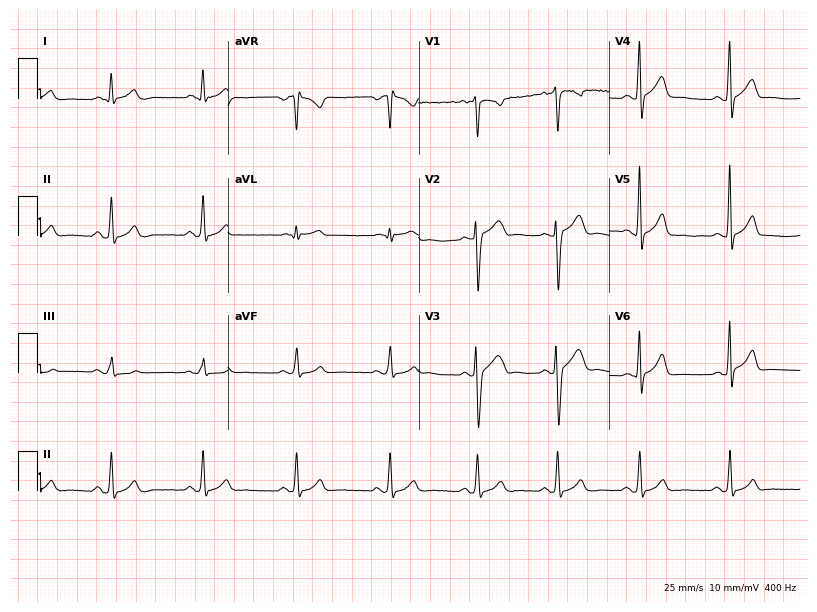
12-lead ECG from a man, 22 years old. Recorded interpretation: within normal limits.